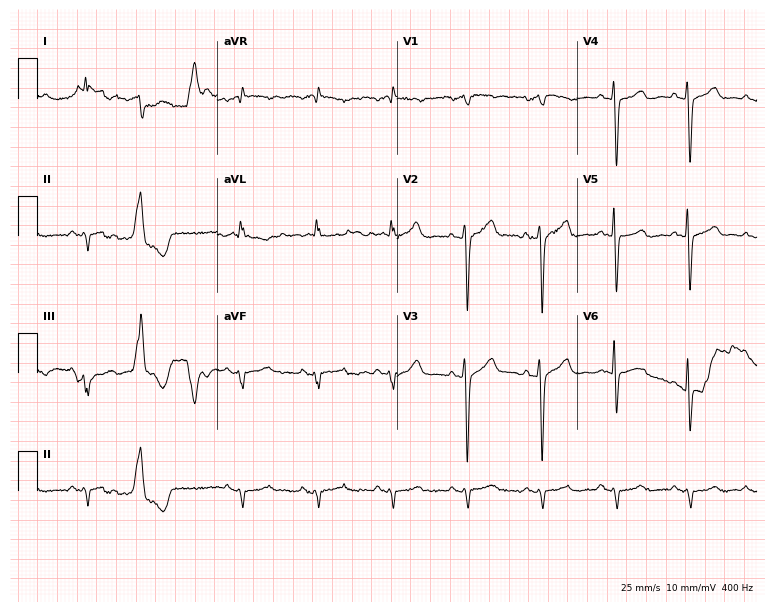
Electrocardiogram (7.3-second recording at 400 Hz), an 83-year-old man. Of the six screened findings (first-degree AV block, right bundle branch block, left bundle branch block, sinus bradycardia, atrial fibrillation, sinus tachycardia), none is recorded. Only these six findings were labelled.